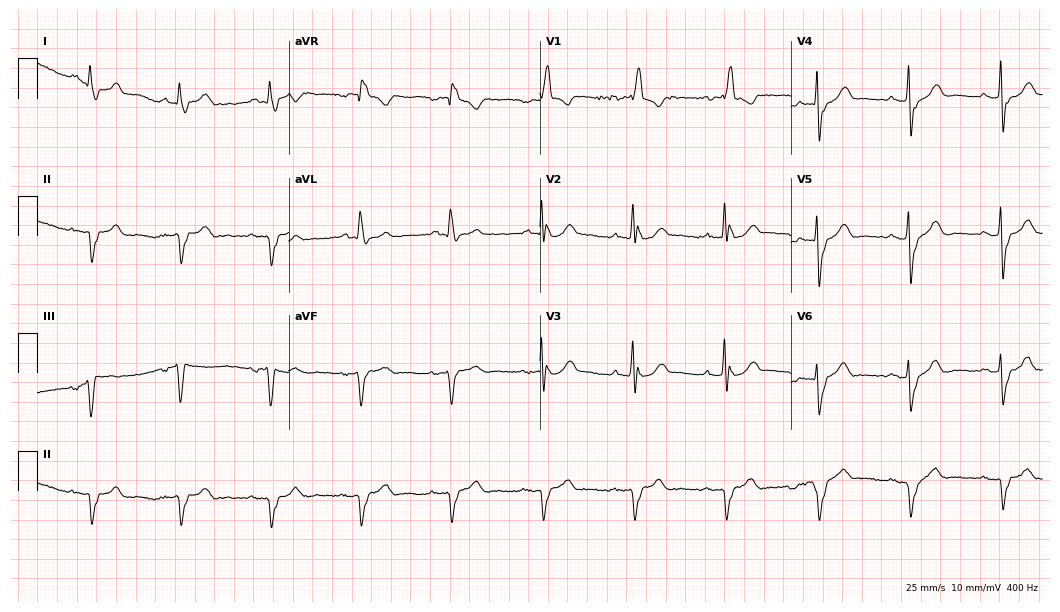
Electrocardiogram (10.2-second recording at 400 Hz), a 78-year-old male patient. Interpretation includes right bundle branch block (RBBB).